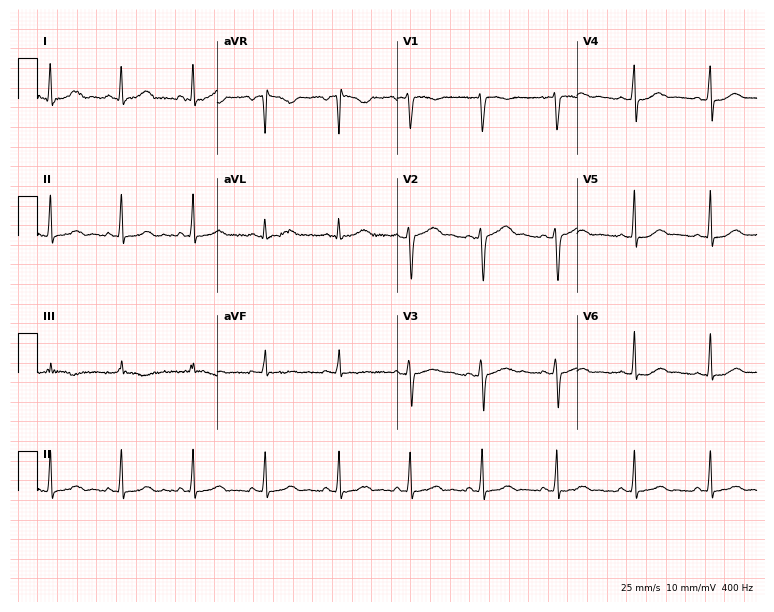
Electrocardiogram (7.3-second recording at 400 Hz), a female, 25 years old. Overall reading on record: normal ECG.